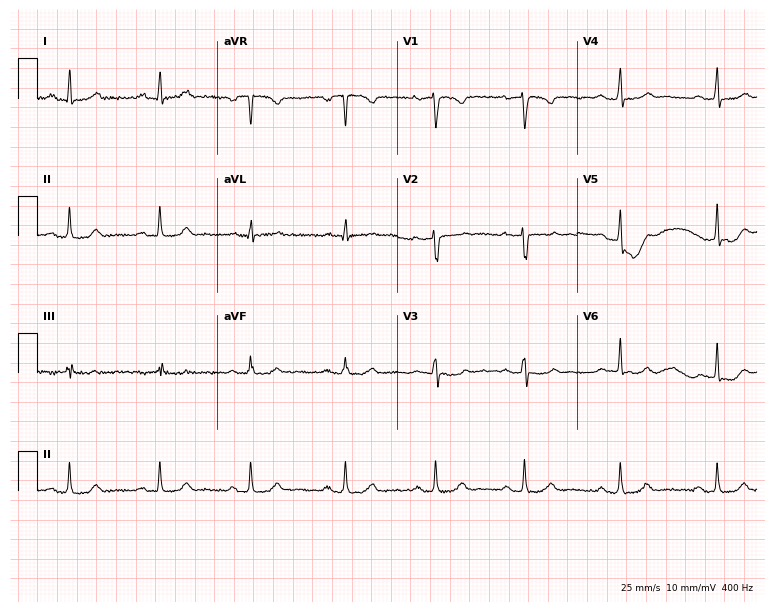
Standard 12-lead ECG recorded from a female patient, 35 years old. None of these six findings is recorded: first-degree AV block, right bundle branch block, left bundle branch block, sinus bradycardia, atrial fibrillation, sinus tachycardia.